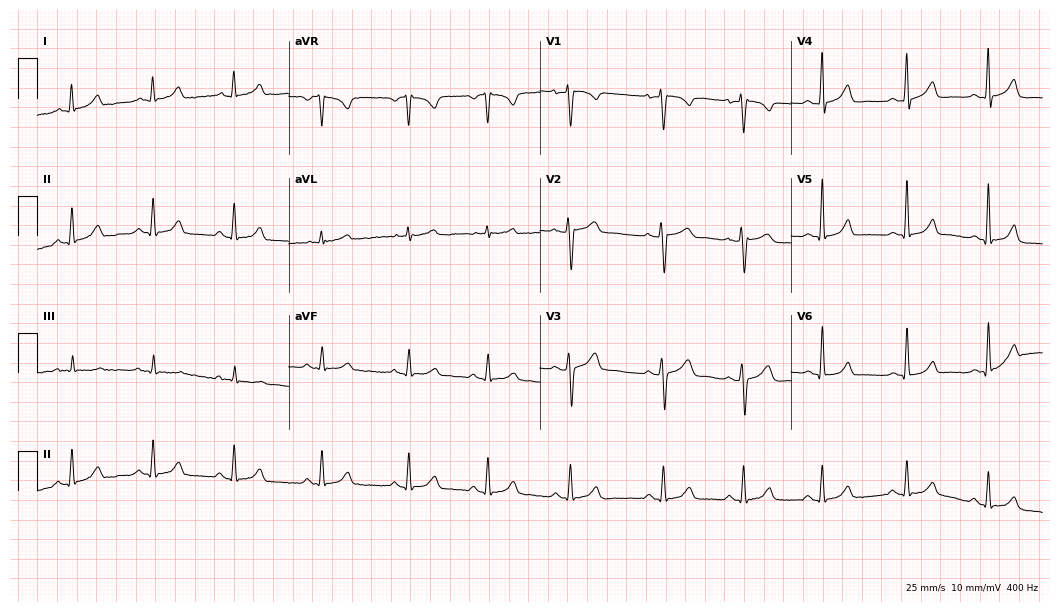
Standard 12-lead ECG recorded from a female, 30 years old (10.2-second recording at 400 Hz). None of these six findings is recorded: first-degree AV block, right bundle branch block, left bundle branch block, sinus bradycardia, atrial fibrillation, sinus tachycardia.